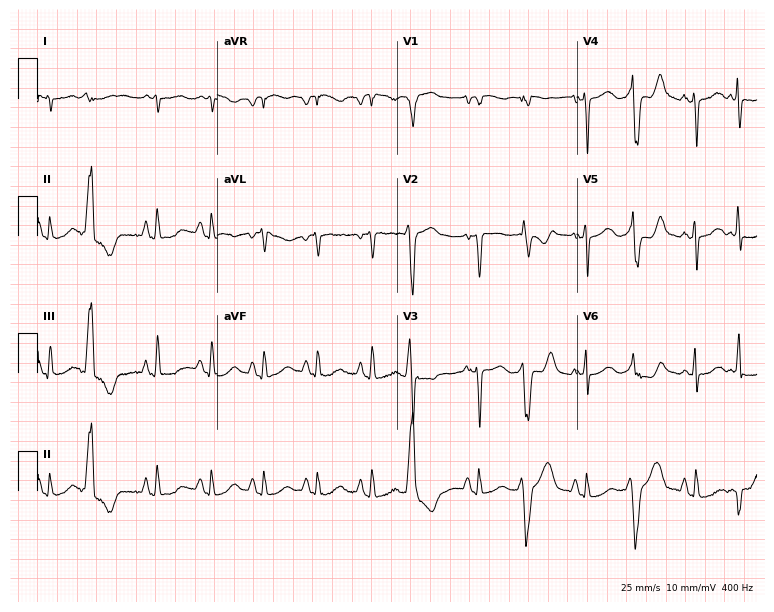
Resting 12-lead electrocardiogram. Patient: a female, 73 years old. None of these six findings is recorded: first-degree AV block, right bundle branch block (RBBB), left bundle branch block (LBBB), sinus bradycardia, atrial fibrillation (AF), sinus tachycardia. Only these six findings were labelled.